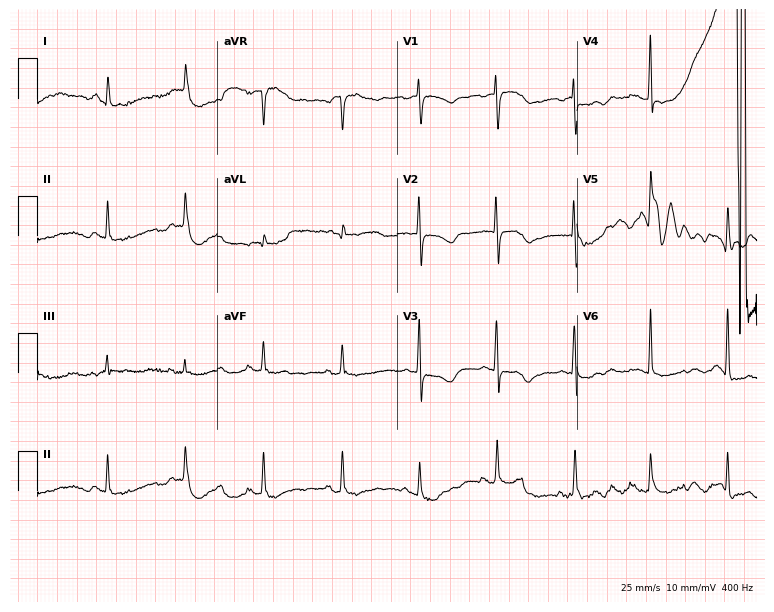
Electrocardiogram (7.3-second recording at 400 Hz), a female patient, 72 years old. Of the six screened findings (first-degree AV block, right bundle branch block (RBBB), left bundle branch block (LBBB), sinus bradycardia, atrial fibrillation (AF), sinus tachycardia), none is recorded.